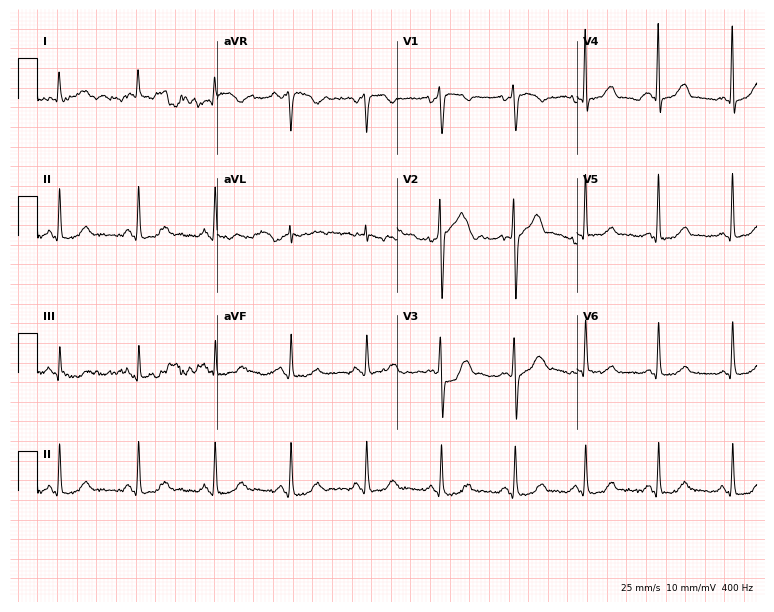
ECG — a 53-year-old male patient. Screened for six findings — first-degree AV block, right bundle branch block (RBBB), left bundle branch block (LBBB), sinus bradycardia, atrial fibrillation (AF), sinus tachycardia — none is recorded. Only these six findings were labelled.